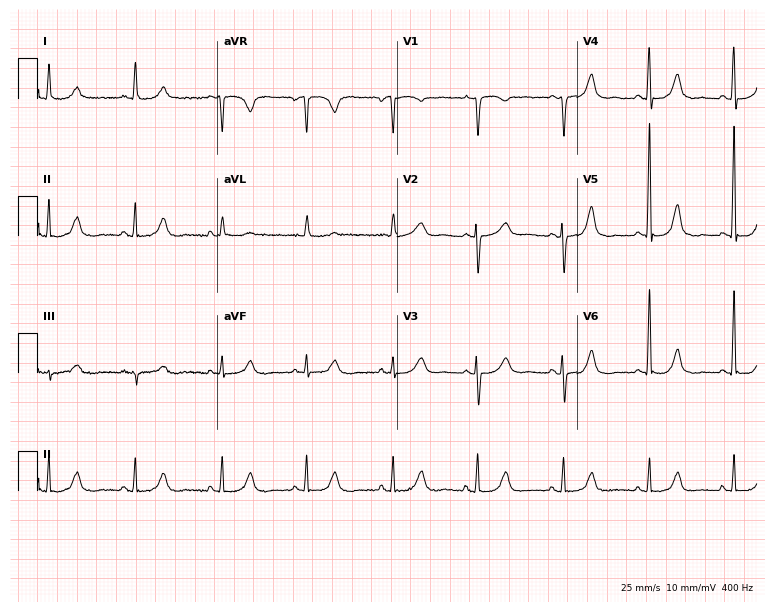
Resting 12-lead electrocardiogram. Patient: a female, 84 years old. Read as a normal ECG.